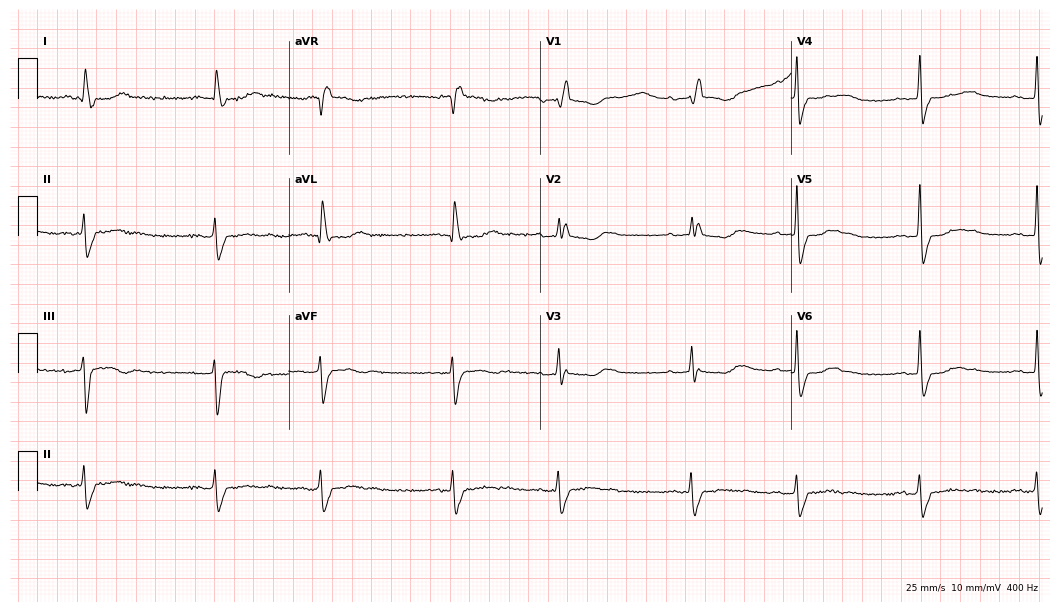
Electrocardiogram (10.2-second recording at 400 Hz), a female patient, 78 years old. Interpretation includes right bundle branch block (RBBB).